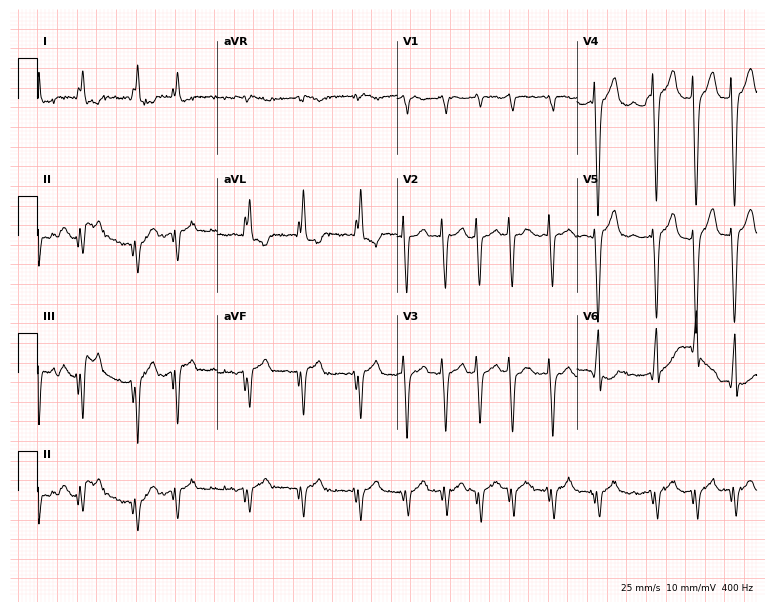
ECG (7.3-second recording at 400 Hz) — a woman, 74 years old. Findings include atrial fibrillation (AF).